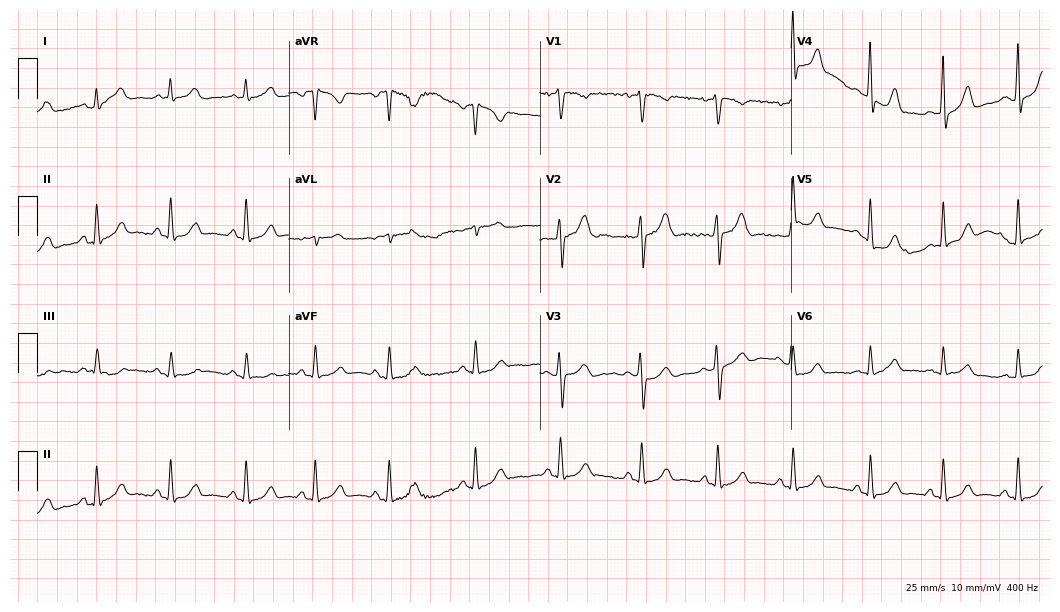
12-lead ECG (10.2-second recording at 400 Hz) from a woman, 19 years old. Screened for six findings — first-degree AV block, right bundle branch block (RBBB), left bundle branch block (LBBB), sinus bradycardia, atrial fibrillation (AF), sinus tachycardia — none is recorded.